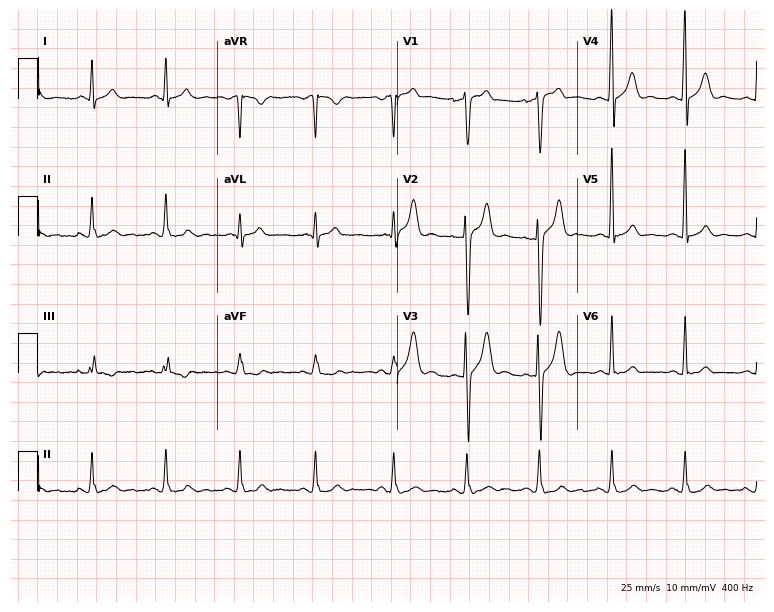
12-lead ECG from a male, 32 years old (7.3-second recording at 400 Hz). No first-degree AV block, right bundle branch block, left bundle branch block, sinus bradycardia, atrial fibrillation or sinus tachycardia recorded for this tracing. Only these six findings were labelled.